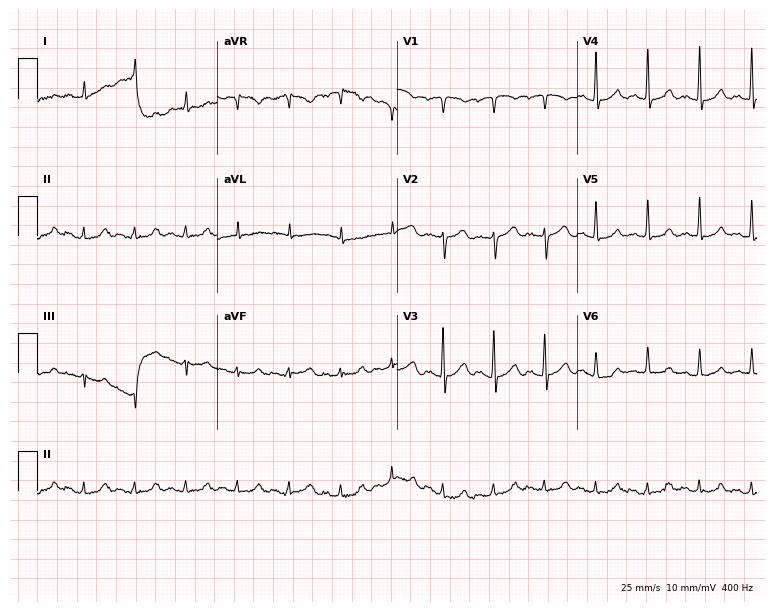
12-lead ECG from a 70-year-old female patient. Findings include sinus tachycardia (a sinus rate of 100 beats per minute or more).